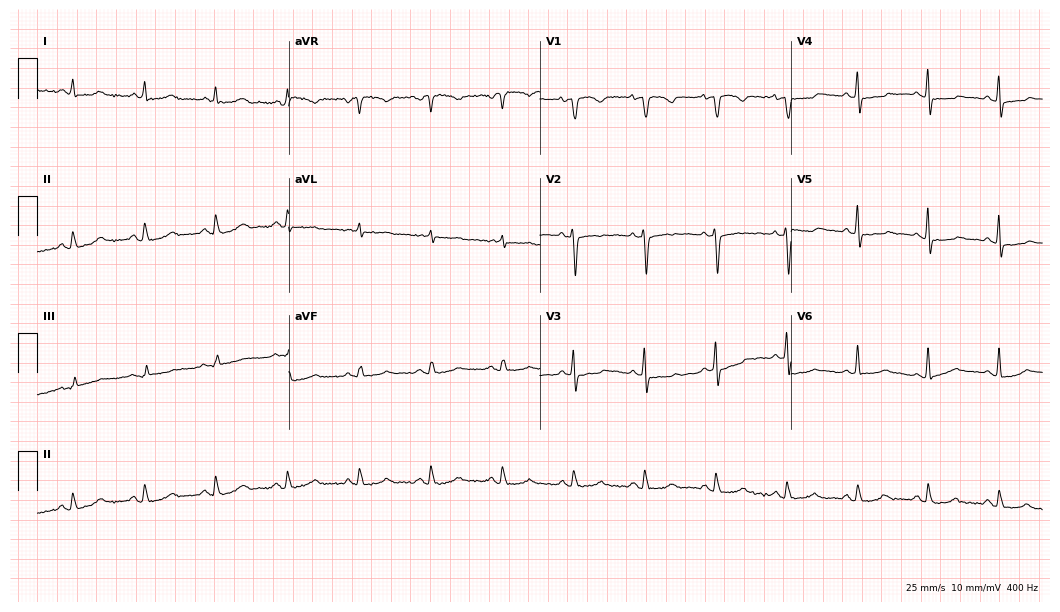
Resting 12-lead electrocardiogram. Patient: a female, 61 years old. None of these six findings is recorded: first-degree AV block, right bundle branch block, left bundle branch block, sinus bradycardia, atrial fibrillation, sinus tachycardia. Other findings, if any, are not listed.